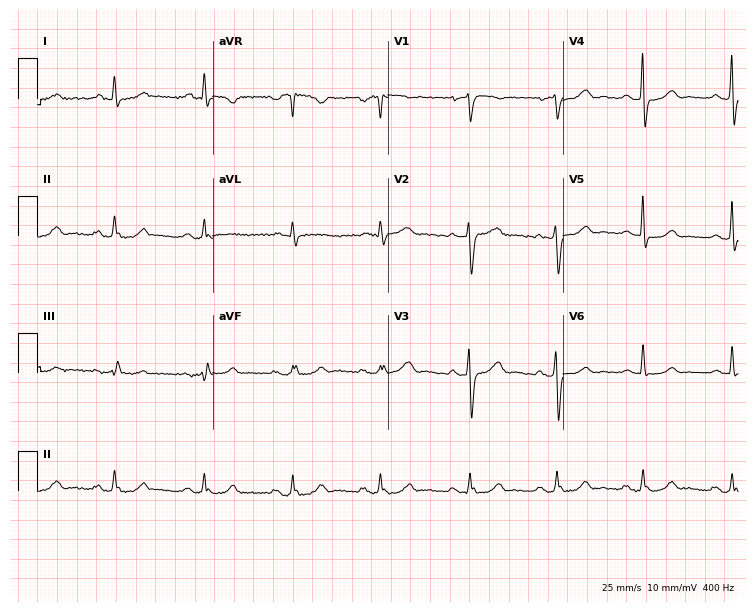
12-lead ECG from a female, 66 years old. No first-degree AV block, right bundle branch block, left bundle branch block, sinus bradycardia, atrial fibrillation or sinus tachycardia recorded for this tracing. Only these six findings were labelled.